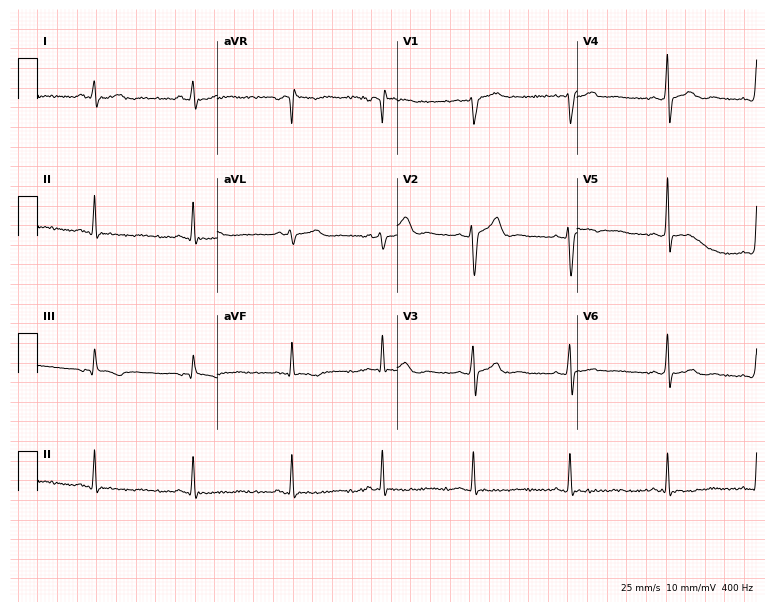
Resting 12-lead electrocardiogram (7.3-second recording at 400 Hz). Patient: a 27-year-old male. None of these six findings is recorded: first-degree AV block, right bundle branch block, left bundle branch block, sinus bradycardia, atrial fibrillation, sinus tachycardia. Findings outside these six are not listed.